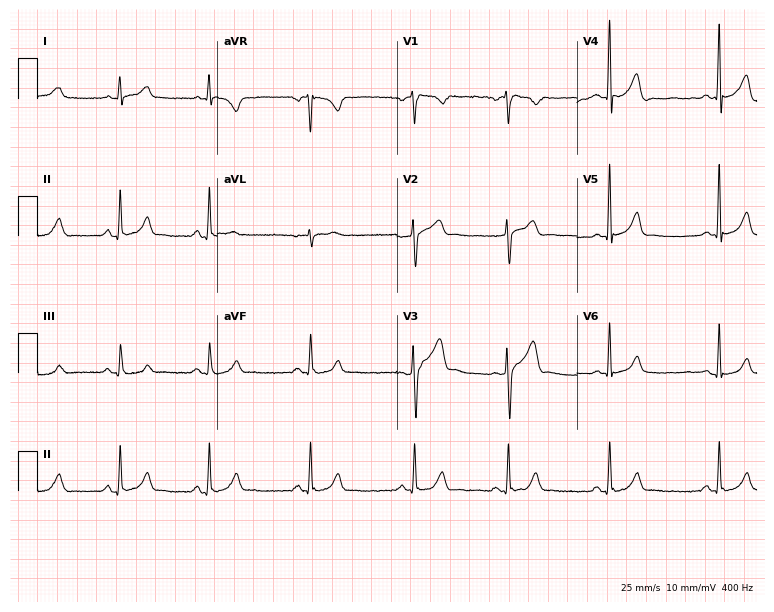
Standard 12-lead ECG recorded from a 36-year-old man (7.3-second recording at 400 Hz). Read as a normal ECG.